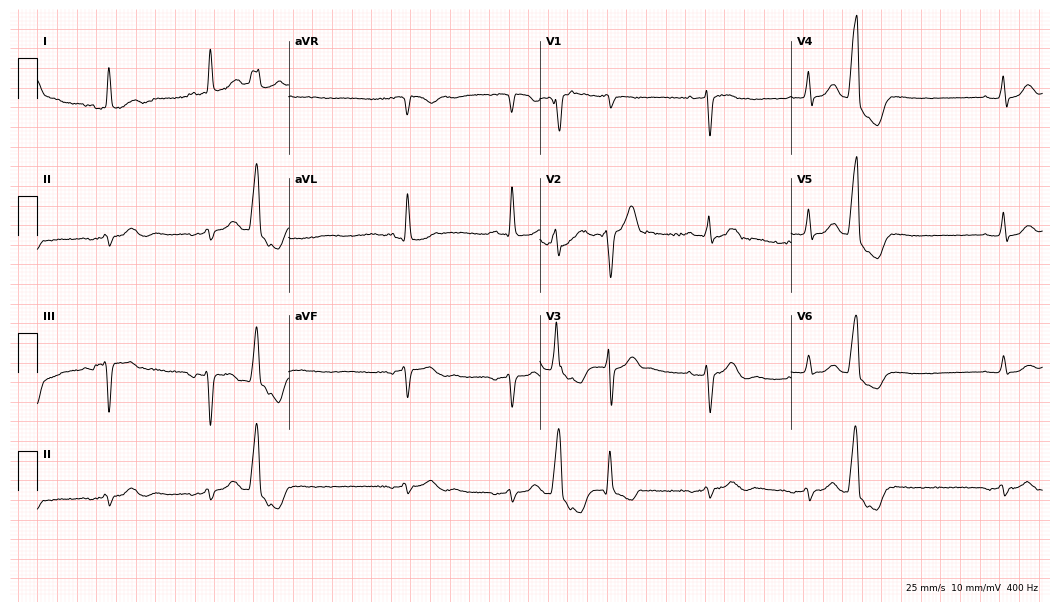
ECG — an 82-year-old female patient. Screened for six findings — first-degree AV block, right bundle branch block, left bundle branch block, sinus bradycardia, atrial fibrillation, sinus tachycardia — none is recorded. Findings outside these six are not listed.